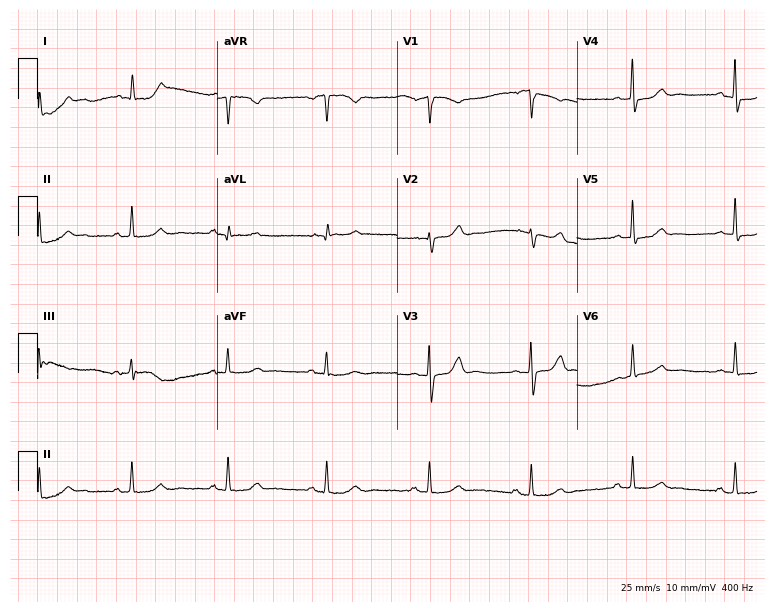
Electrocardiogram (7.3-second recording at 400 Hz), a woman, 74 years old. Of the six screened findings (first-degree AV block, right bundle branch block, left bundle branch block, sinus bradycardia, atrial fibrillation, sinus tachycardia), none is recorded.